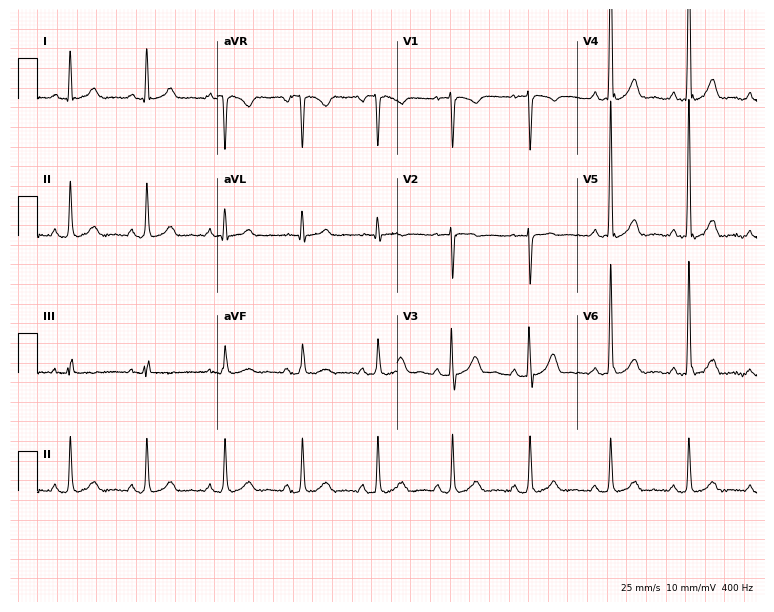
Resting 12-lead electrocardiogram (7.3-second recording at 400 Hz). Patient: a male, 48 years old. None of these six findings is recorded: first-degree AV block, right bundle branch block, left bundle branch block, sinus bradycardia, atrial fibrillation, sinus tachycardia. Only these six findings were labelled.